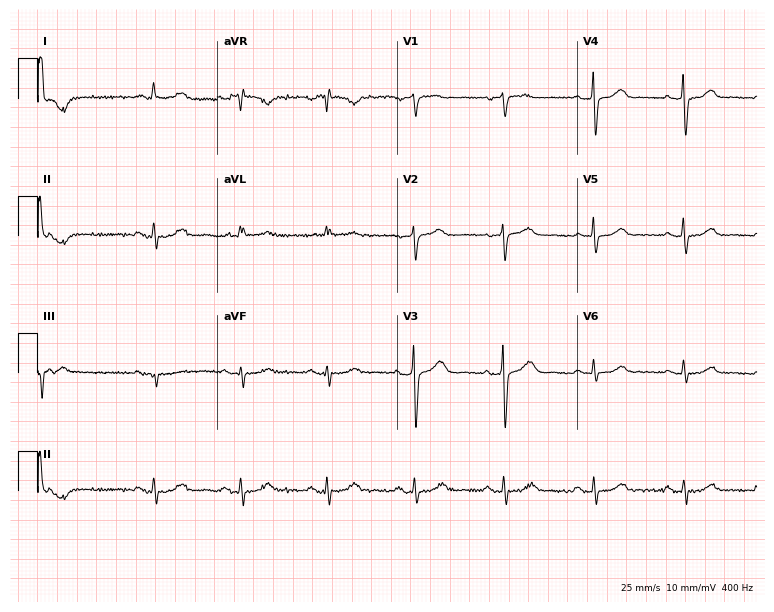
Standard 12-lead ECG recorded from a 66-year-old female. None of these six findings is recorded: first-degree AV block, right bundle branch block, left bundle branch block, sinus bradycardia, atrial fibrillation, sinus tachycardia.